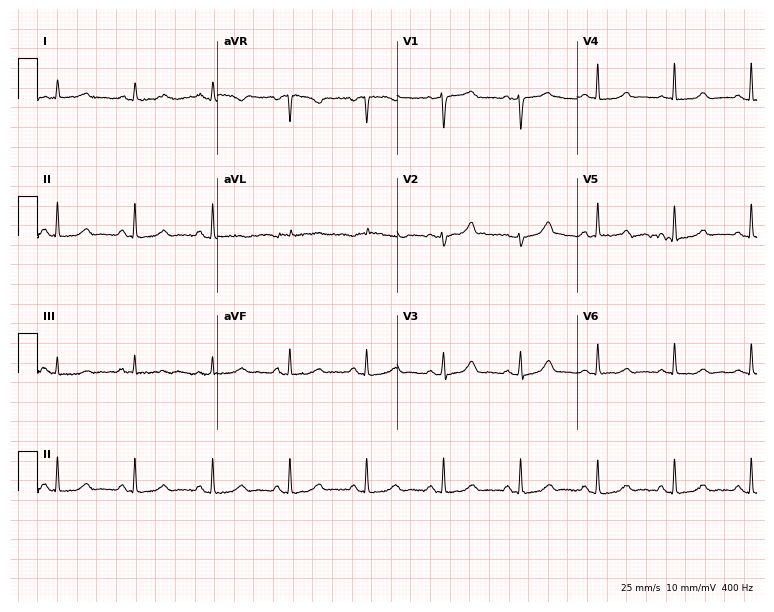
12-lead ECG from a female patient, 65 years old. Screened for six findings — first-degree AV block, right bundle branch block (RBBB), left bundle branch block (LBBB), sinus bradycardia, atrial fibrillation (AF), sinus tachycardia — none is recorded.